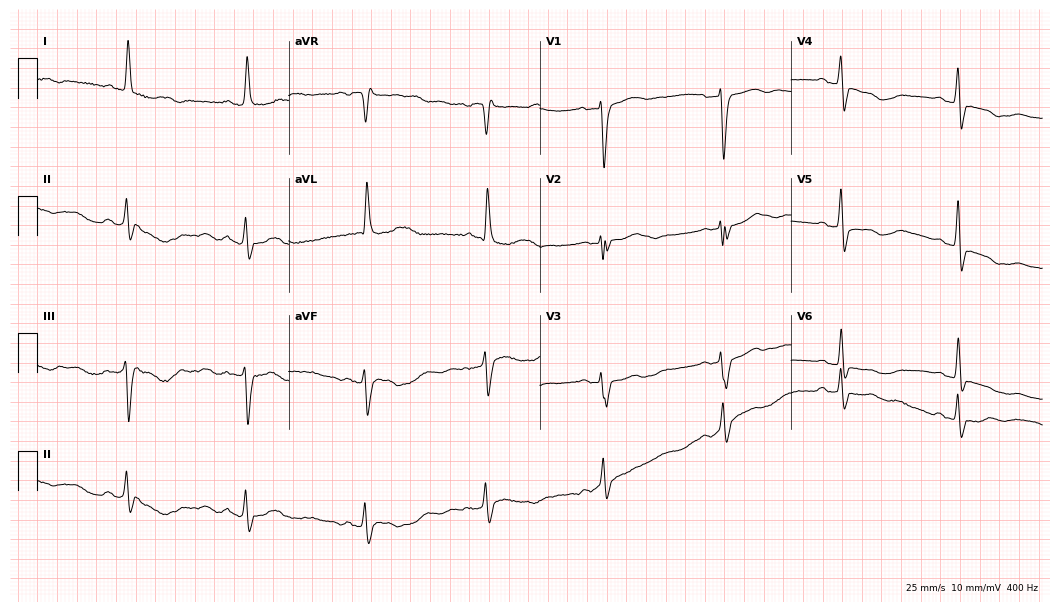
12-lead ECG from an 84-year-old woman. Screened for six findings — first-degree AV block, right bundle branch block, left bundle branch block, sinus bradycardia, atrial fibrillation, sinus tachycardia — none is recorded. Other findings, if any, are not listed.